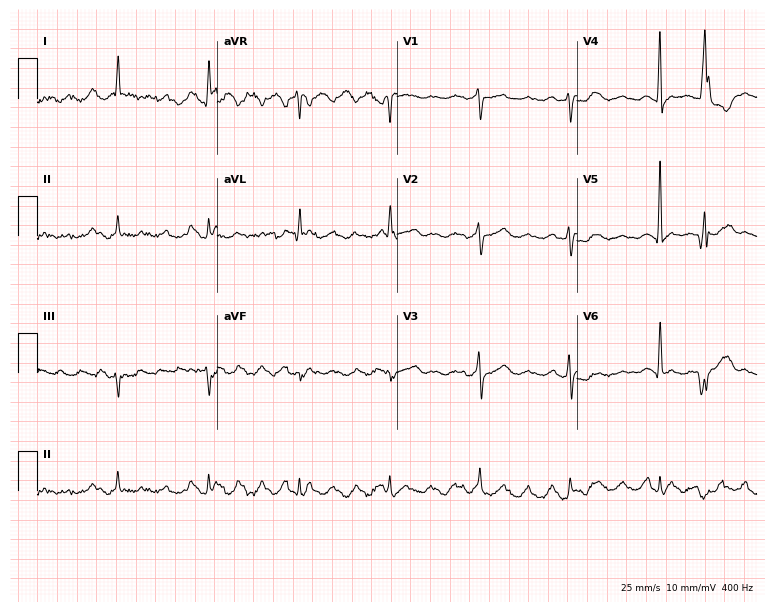
12-lead ECG from a male, 74 years old. No first-degree AV block, right bundle branch block, left bundle branch block, sinus bradycardia, atrial fibrillation or sinus tachycardia recorded for this tracing.